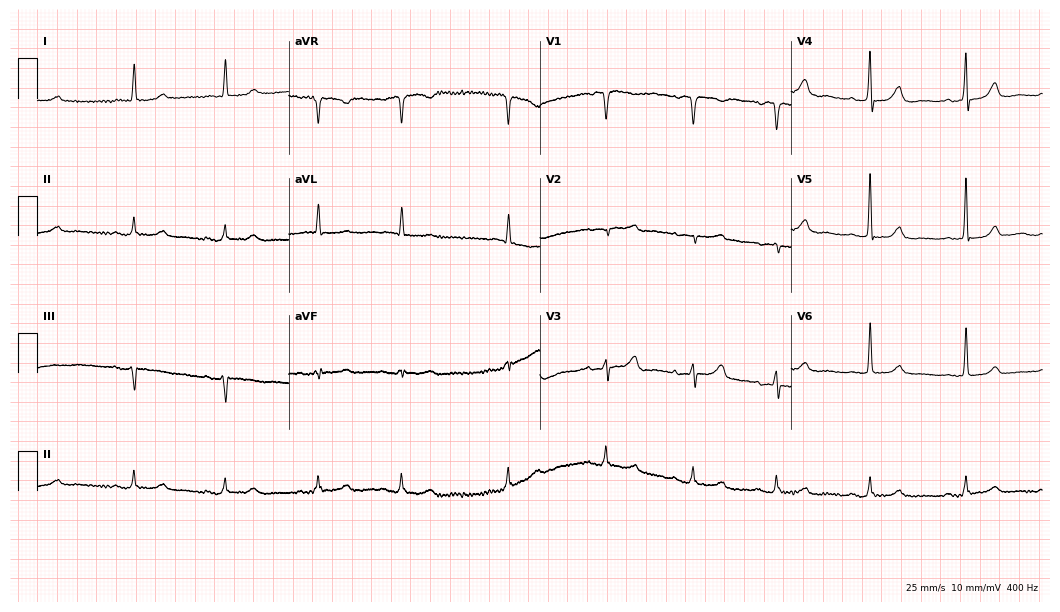
12-lead ECG from a 73-year-old female patient (10.2-second recording at 400 Hz). Recorded interpretation: within normal limits.